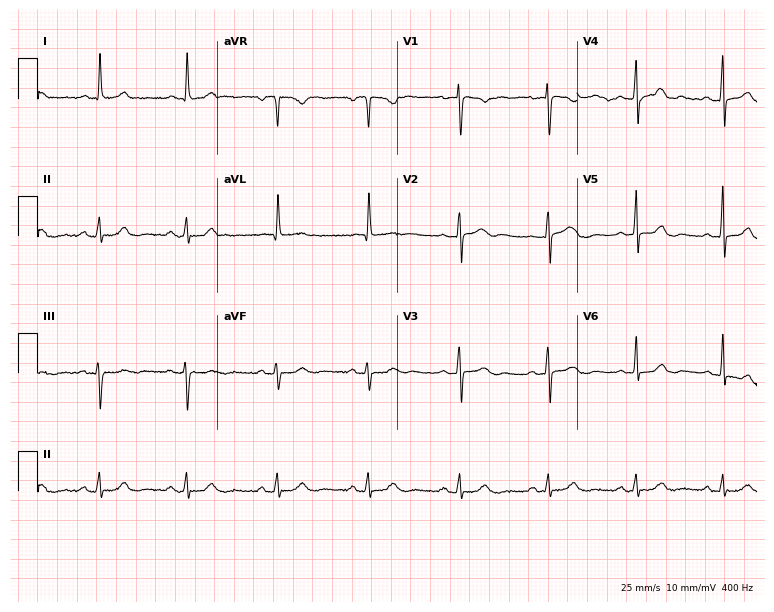
ECG — a female, 66 years old. Labelled as a normal ECG.